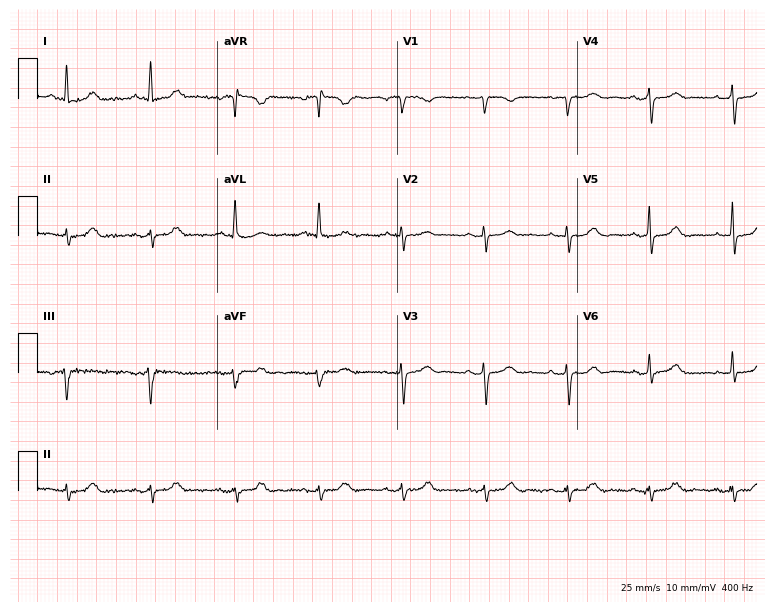
12-lead ECG from a female patient, 69 years old. Screened for six findings — first-degree AV block, right bundle branch block, left bundle branch block, sinus bradycardia, atrial fibrillation, sinus tachycardia — none is recorded.